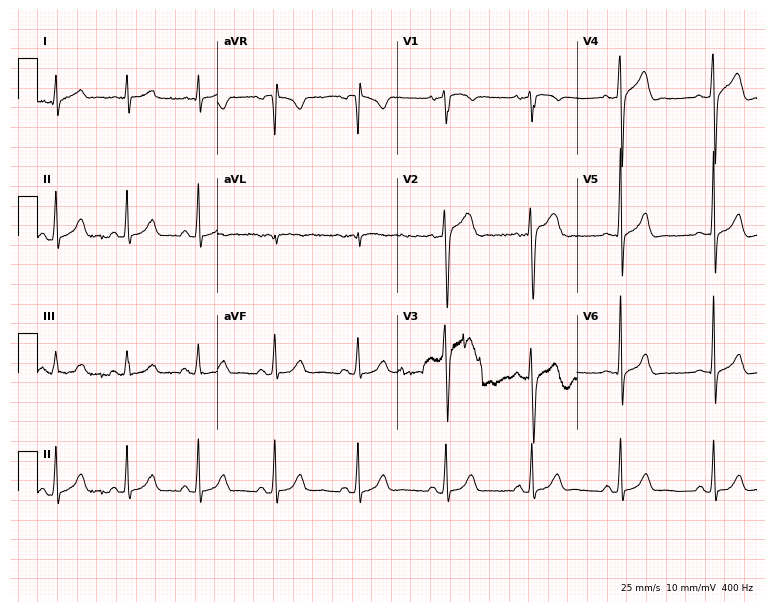
12-lead ECG from a male, 54 years old. Screened for six findings — first-degree AV block, right bundle branch block (RBBB), left bundle branch block (LBBB), sinus bradycardia, atrial fibrillation (AF), sinus tachycardia — none is recorded. Only these six findings were labelled.